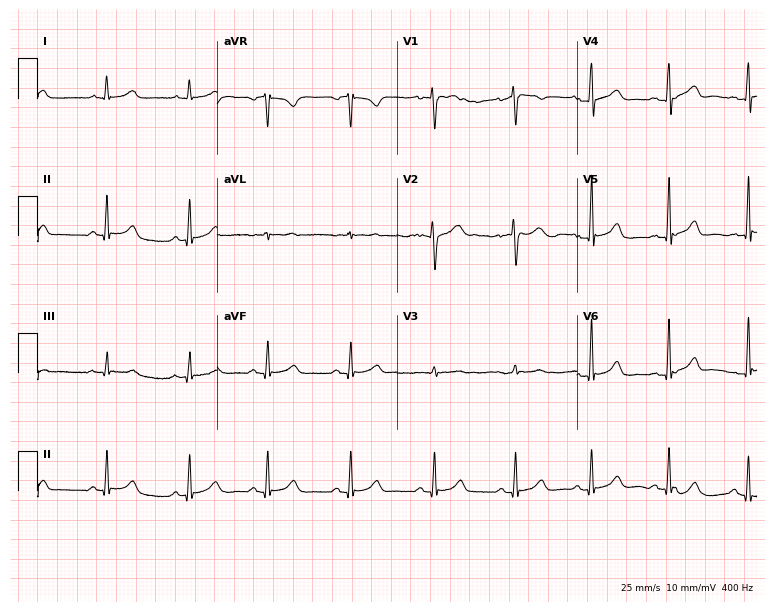
Resting 12-lead electrocardiogram. Patient: a 50-year-old female. Read as a normal ECG.